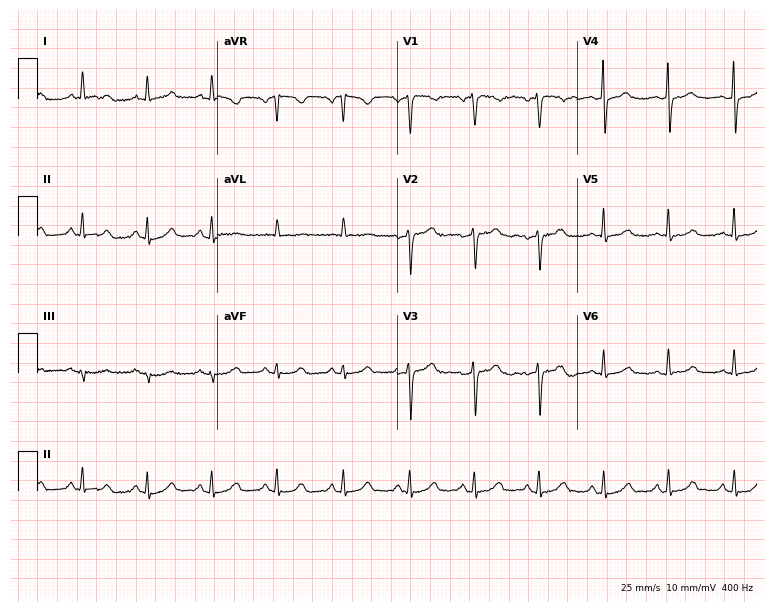
12-lead ECG from a 48-year-old female. Labelled as a normal ECG.